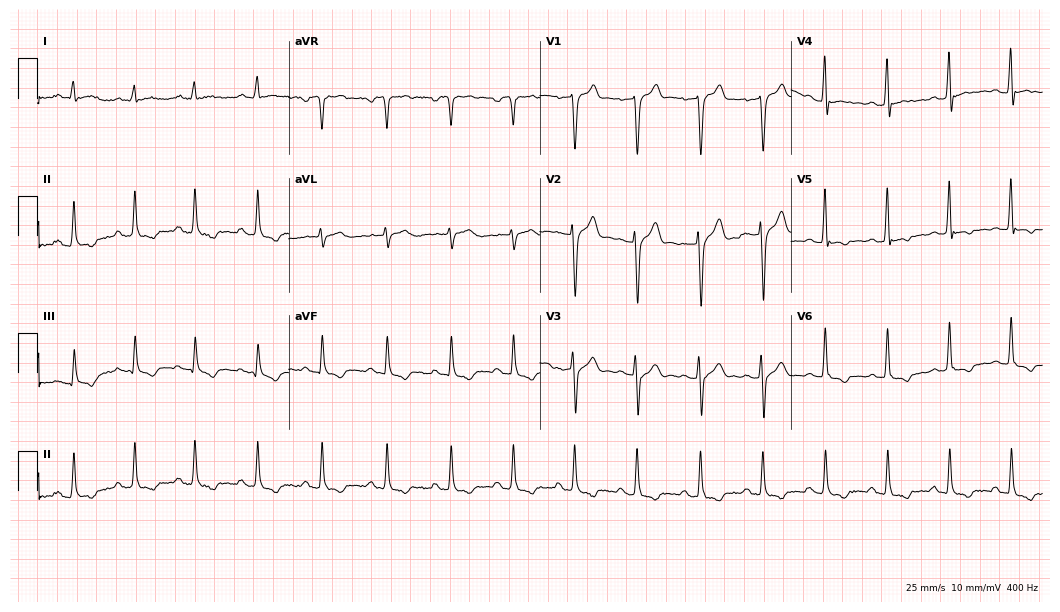
12-lead ECG from a 24-year-old male. No first-degree AV block, right bundle branch block (RBBB), left bundle branch block (LBBB), sinus bradycardia, atrial fibrillation (AF) or sinus tachycardia recorded for this tracing. Only these six findings were labelled.